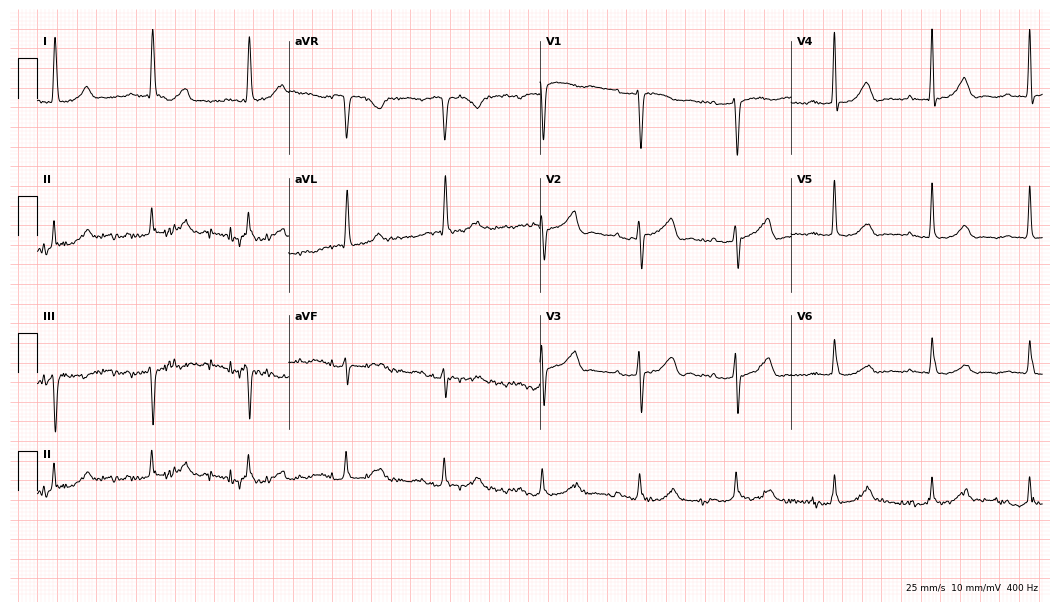
12-lead ECG from an 88-year-old female (10.2-second recording at 400 Hz). Shows first-degree AV block.